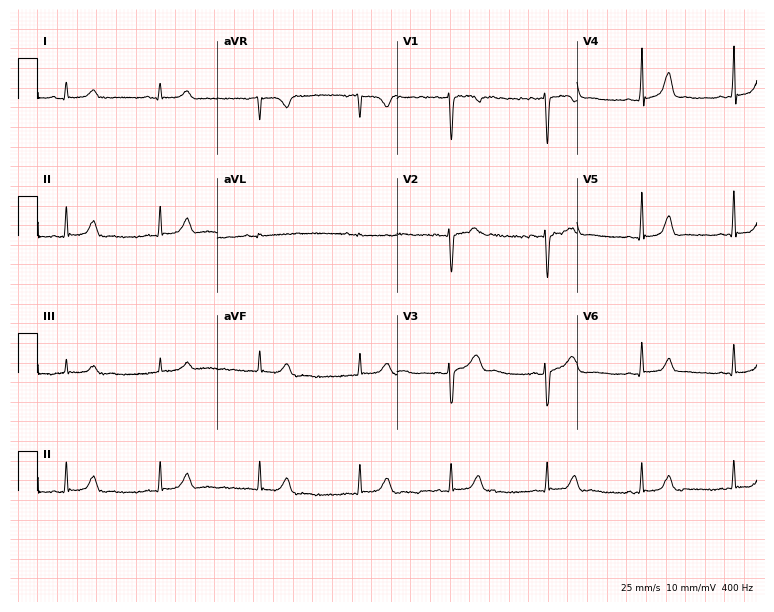
ECG (7.3-second recording at 400 Hz) — a 28-year-old female. Labelled as a normal ECG.